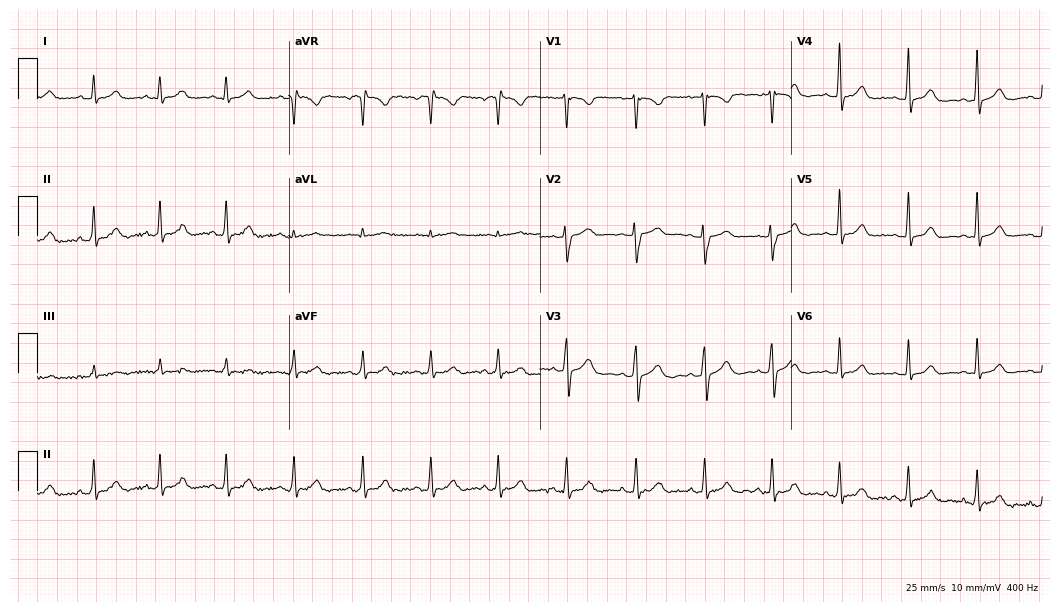
ECG (10.2-second recording at 400 Hz) — a female patient, 43 years old. Labelled as a normal ECG.